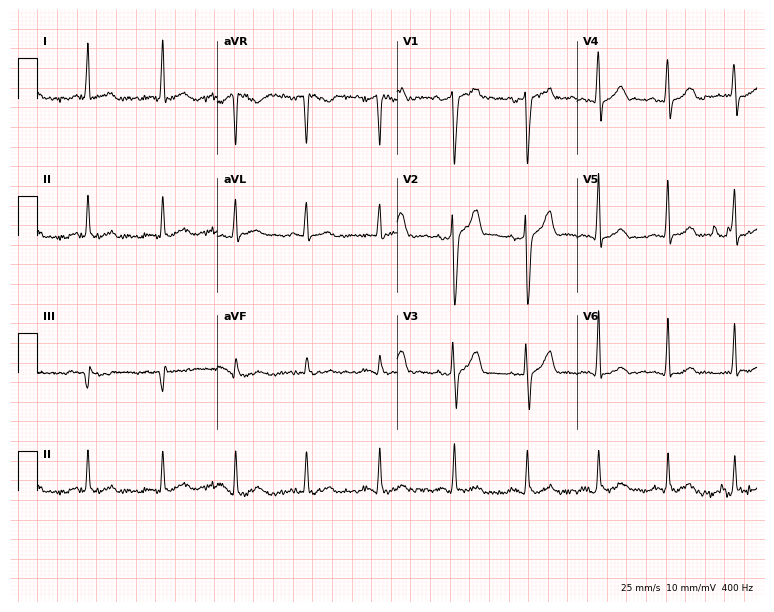
Resting 12-lead electrocardiogram (7.3-second recording at 400 Hz). Patient: a man, 47 years old. None of these six findings is recorded: first-degree AV block, right bundle branch block, left bundle branch block, sinus bradycardia, atrial fibrillation, sinus tachycardia. Findings outside these six are not listed.